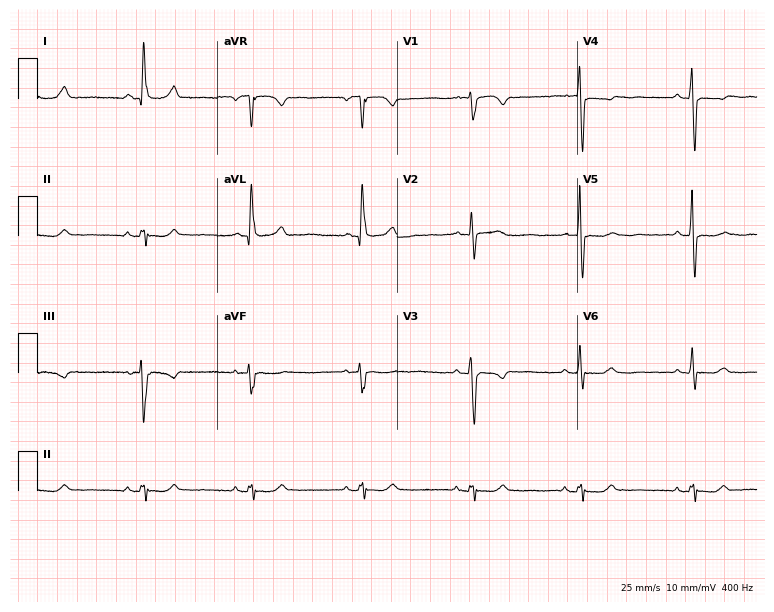
Resting 12-lead electrocardiogram. Patient: a female, 66 years old. None of these six findings is recorded: first-degree AV block, right bundle branch block, left bundle branch block, sinus bradycardia, atrial fibrillation, sinus tachycardia.